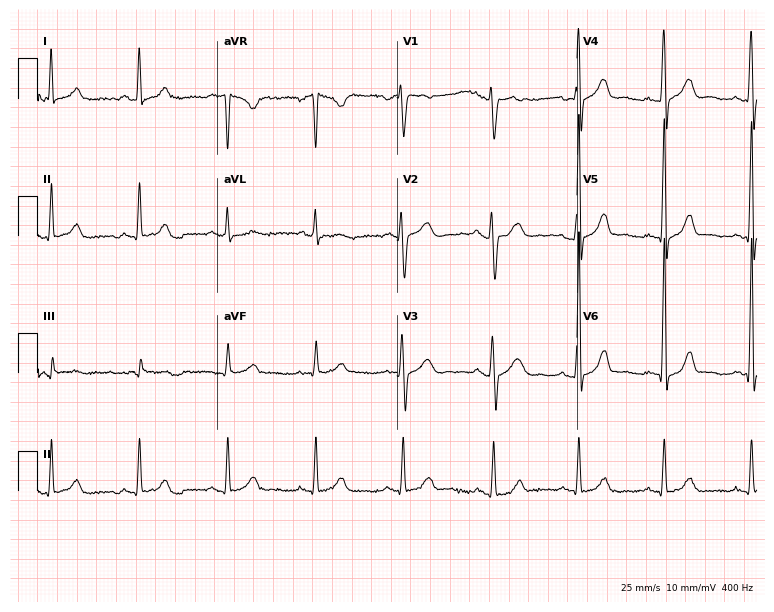
ECG — a female patient, 33 years old. Screened for six findings — first-degree AV block, right bundle branch block, left bundle branch block, sinus bradycardia, atrial fibrillation, sinus tachycardia — none is recorded. Findings outside these six are not listed.